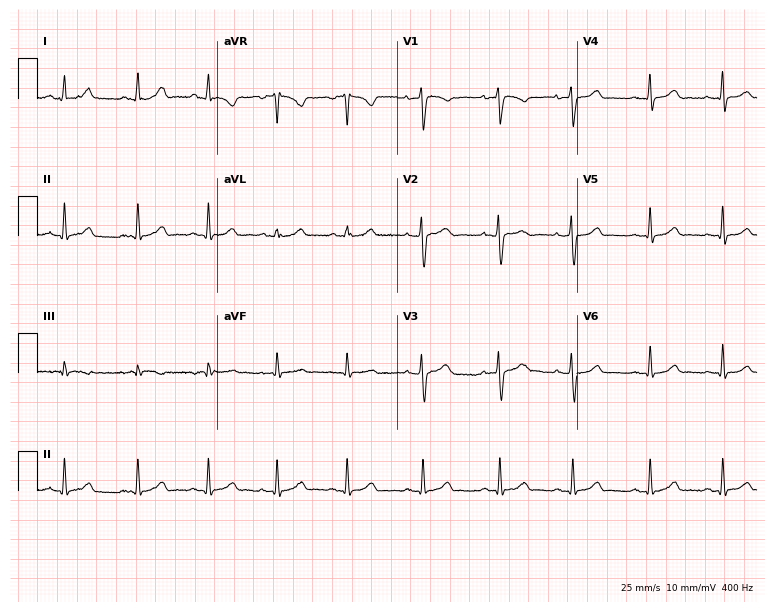
Resting 12-lead electrocardiogram. Patient: a 25-year-old woman. Read as a normal ECG.